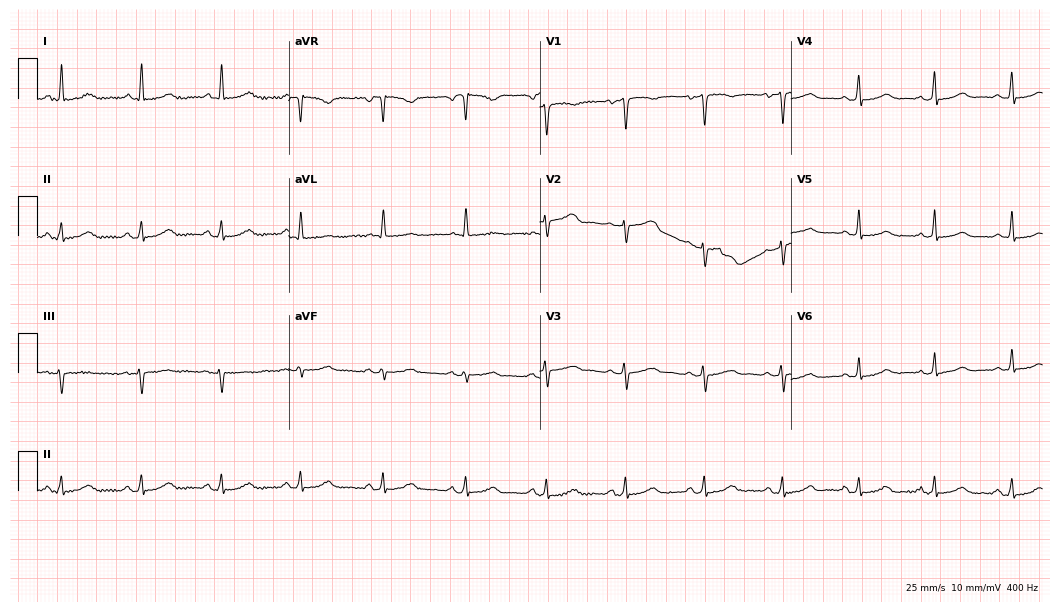
ECG — a female, 53 years old. Screened for six findings — first-degree AV block, right bundle branch block, left bundle branch block, sinus bradycardia, atrial fibrillation, sinus tachycardia — none is recorded.